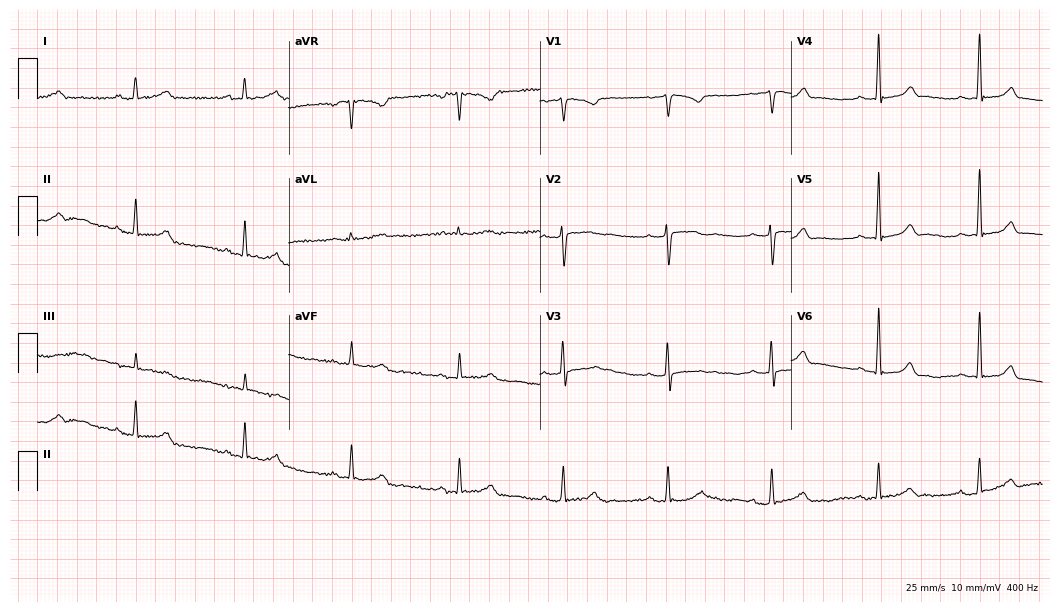
12-lead ECG from a female, 34 years old. Labelled as a normal ECG.